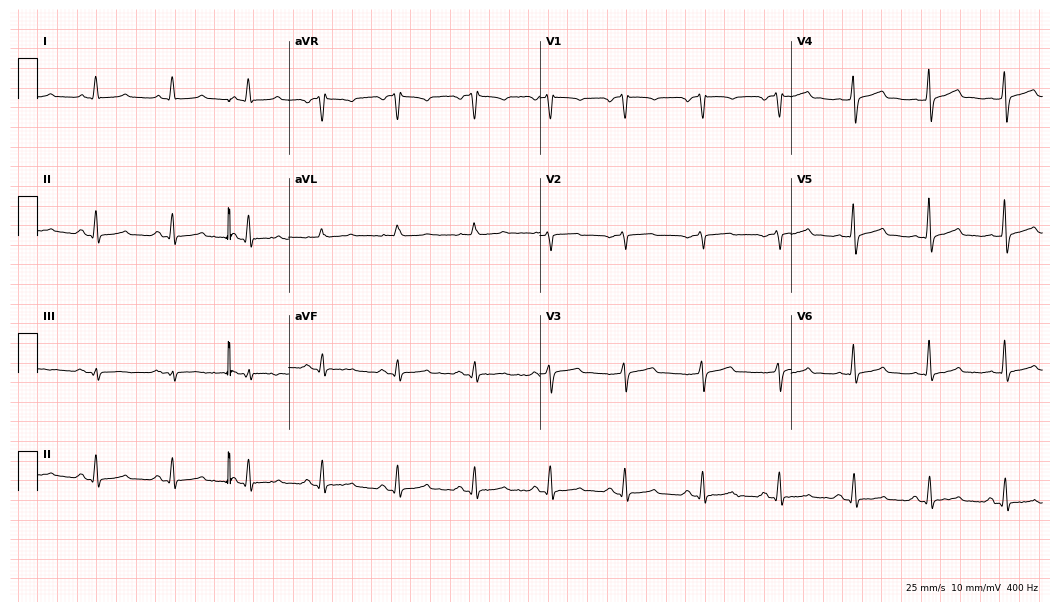
12-lead ECG from a male patient, 66 years old. Recorded interpretation: within normal limits.